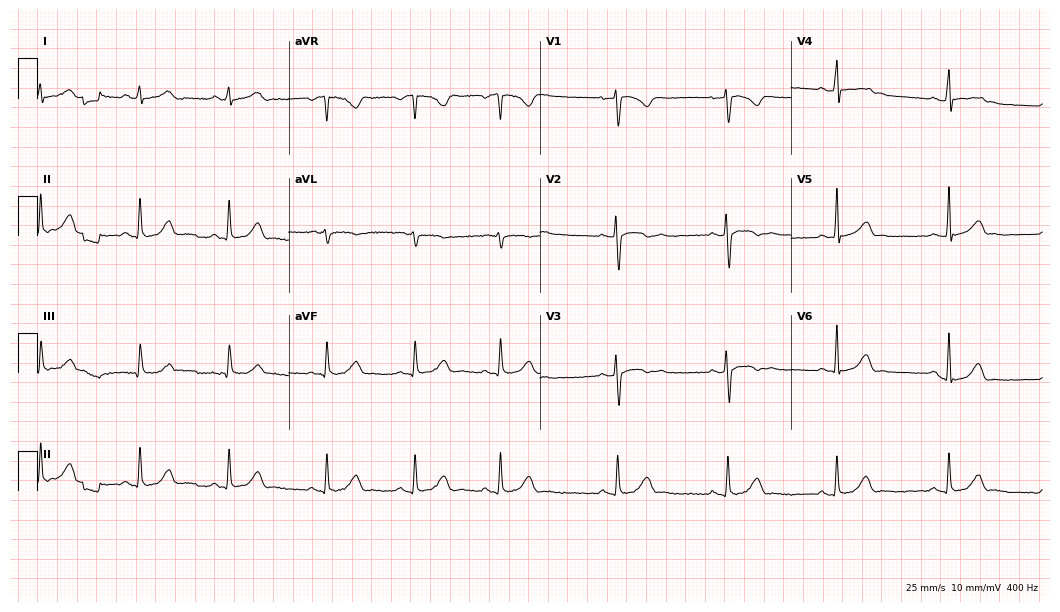
12-lead ECG (10.2-second recording at 400 Hz) from a 20-year-old female. Labelled as a normal ECG.